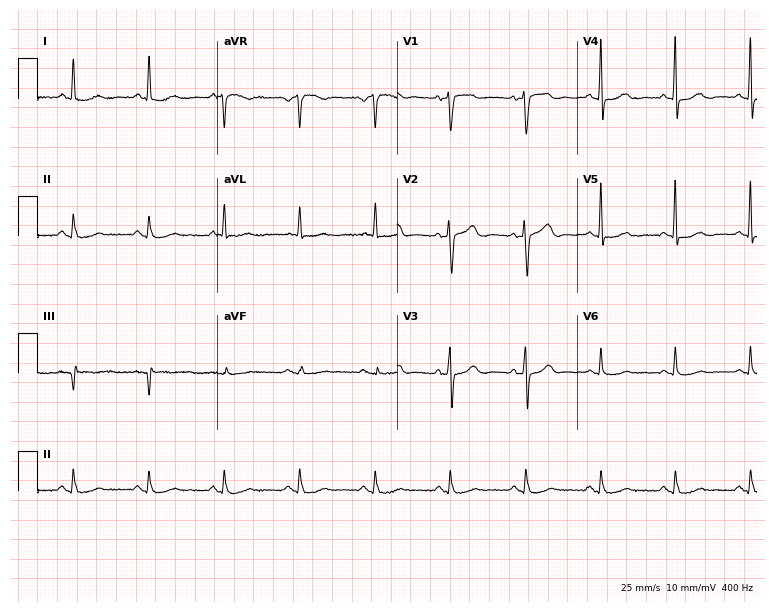
12-lead ECG from a man, 84 years old. Screened for six findings — first-degree AV block, right bundle branch block, left bundle branch block, sinus bradycardia, atrial fibrillation, sinus tachycardia — none is recorded. Other findings, if any, are not listed.